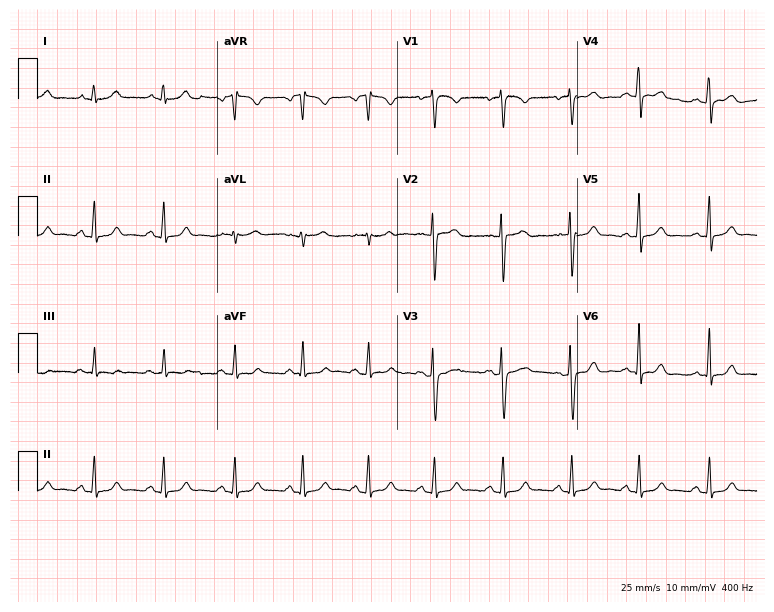
Standard 12-lead ECG recorded from a female, 30 years old. Read as a normal ECG.